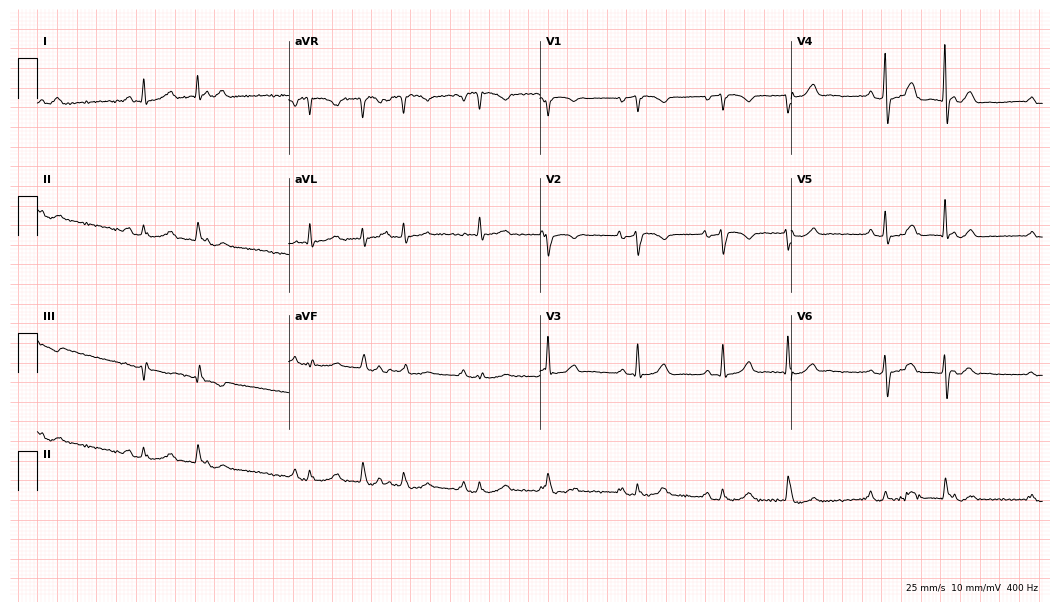
Standard 12-lead ECG recorded from a 76-year-old male. None of these six findings is recorded: first-degree AV block, right bundle branch block, left bundle branch block, sinus bradycardia, atrial fibrillation, sinus tachycardia.